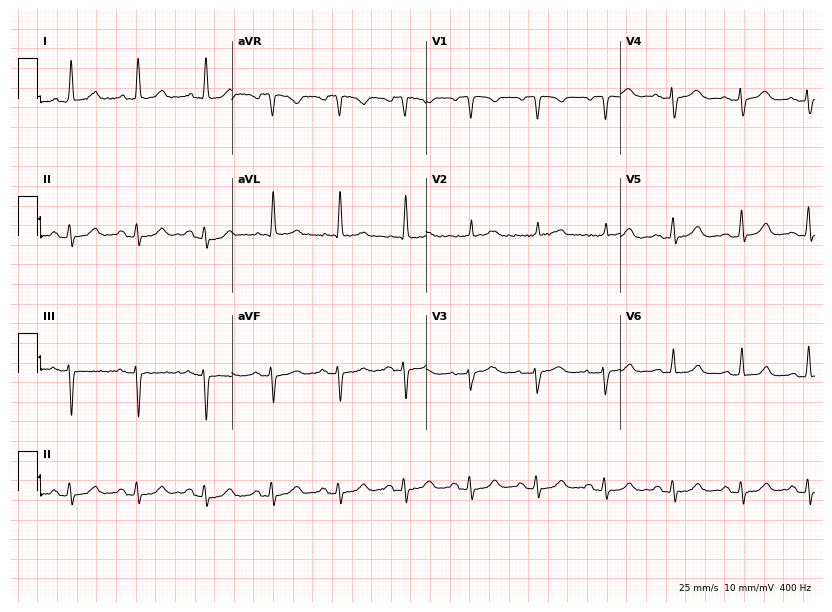
Resting 12-lead electrocardiogram (7.9-second recording at 400 Hz). Patient: a 71-year-old female. Read as a normal ECG.